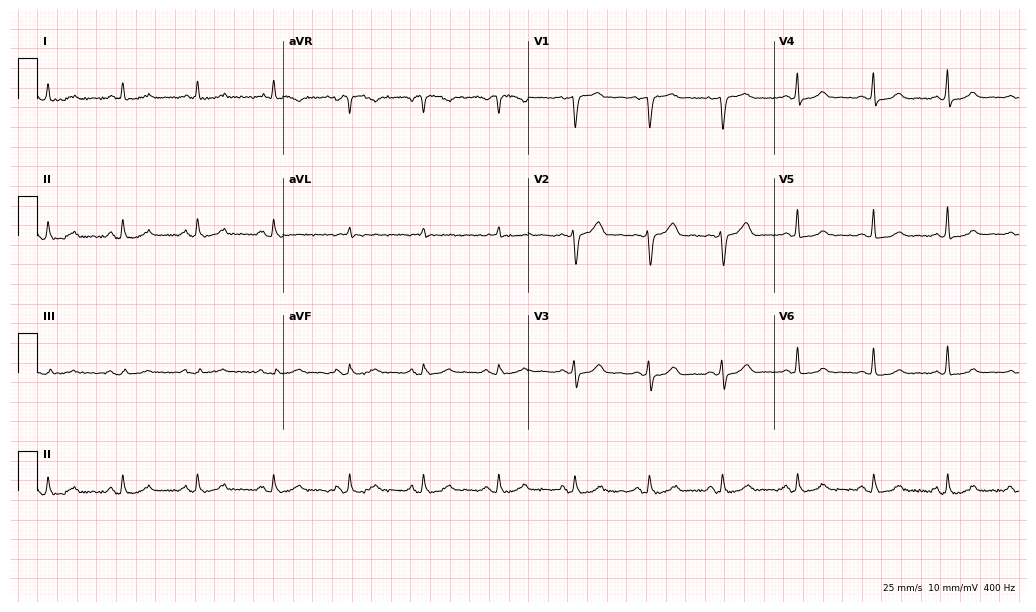
ECG — a 56-year-old female patient. Screened for six findings — first-degree AV block, right bundle branch block (RBBB), left bundle branch block (LBBB), sinus bradycardia, atrial fibrillation (AF), sinus tachycardia — none is recorded.